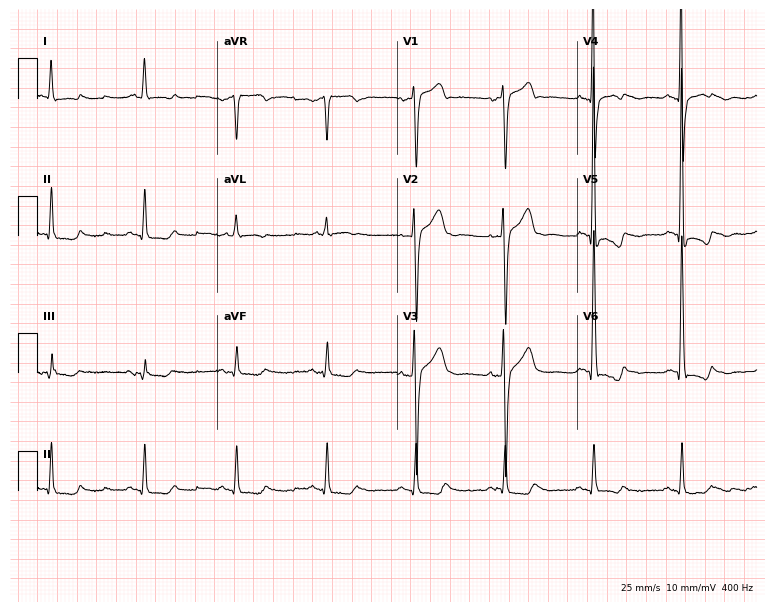
12-lead ECG from a male patient, 73 years old. Screened for six findings — first-degree AV block, right bundle branch block (RBBB), left bundle branch block (LBBB), sinus bradycardia, atrial fibrillation (AF), sinus tachycardia — none is recorded.